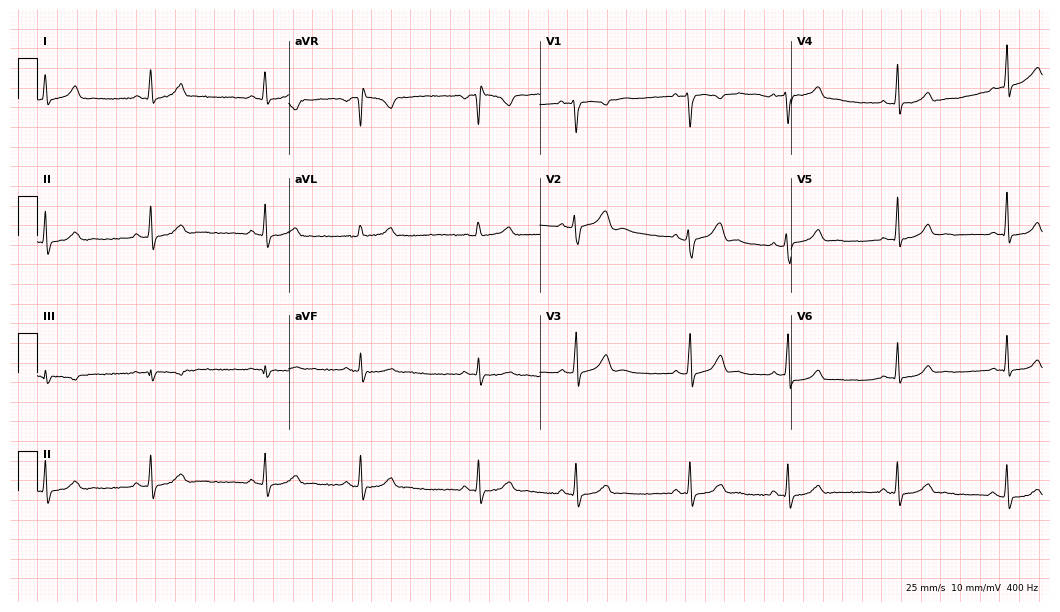
12-lead ECG from a 28-year-old woman. No first-degree AV block, right bundle branch block, left bundle branch block, sinus bradycardia, atrial fibrillation or sinus tachycardia recorded for this tracing.